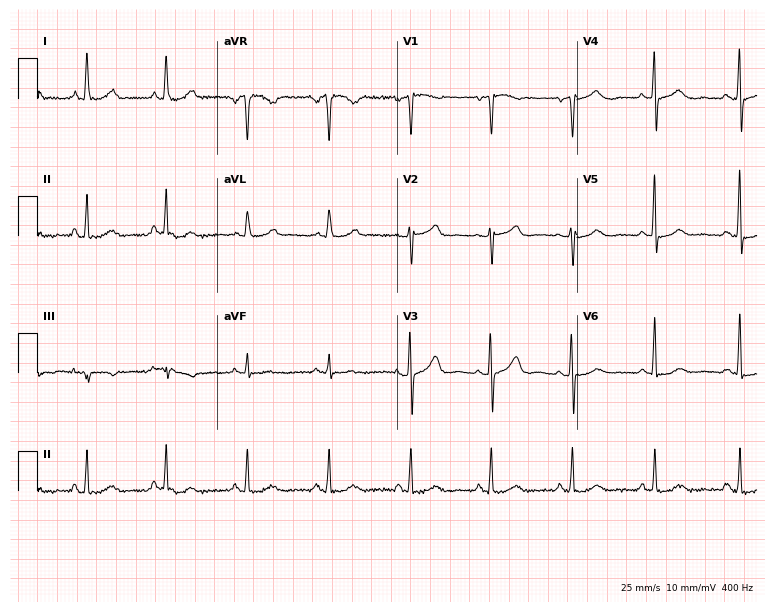
Standard 12-lead ECG recorded from a female, 58 years old. Read as a normal ECG.